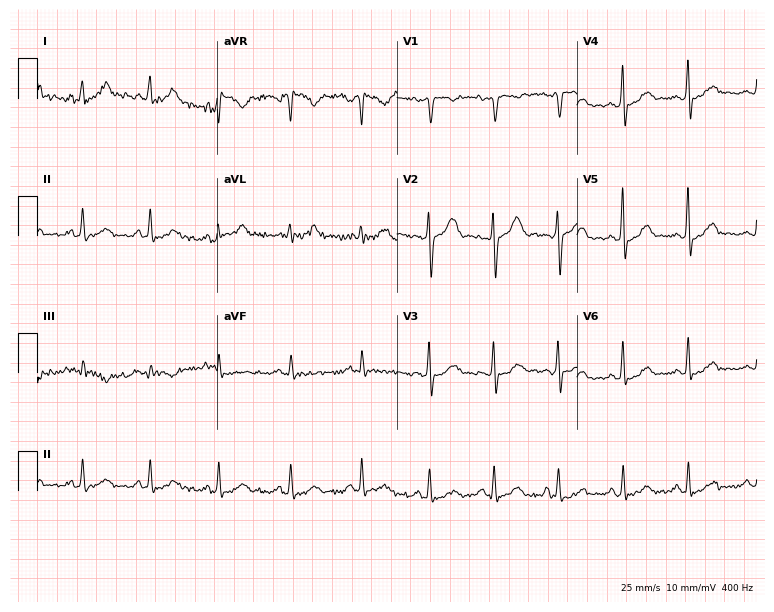
Electrocardiogram, a 34-year-old female. Of the six screened findings (first-degree AV block, right bundle branch block, left bundle branch block, sinus bradycardia, atrial fibrillation, sinus tachycardia), none is recorded. Other findings, if any, are not listed.